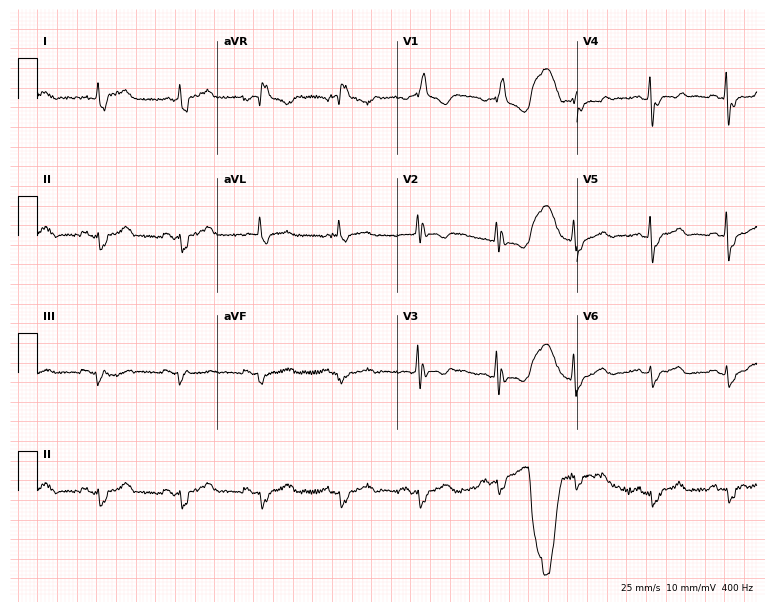
Resting 12-lead electrocardiogram (7.3-second recording at 400 Hz). Patient: a female, 75 years old. The tracing shows right bundle branch block.